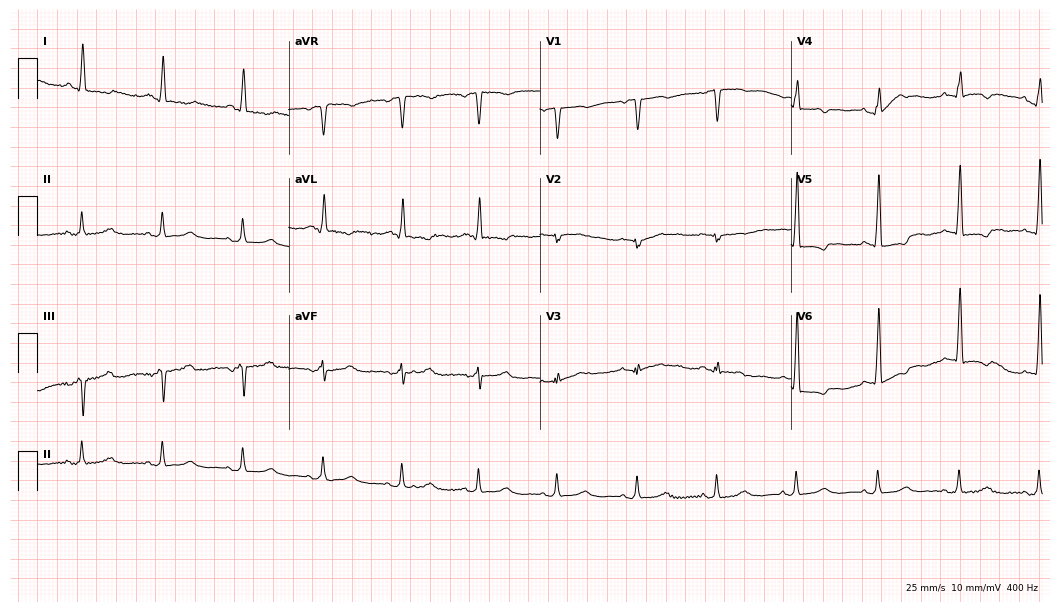
12-lead ECG from a male, 83 years old (10.2-second recording at 400 Hz). No first-degree AV block, right bundle branch block (RBBB), left bundle branch block (LBBB), sinus bradycardia, atrial fibrillation (AF) or sinus tachycardia recorded for this tracing.